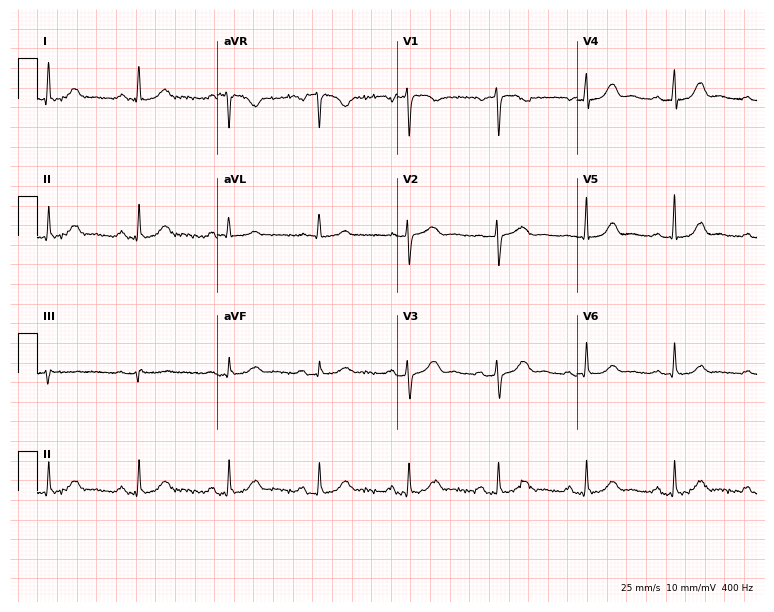
Resting 12-lead electrocardiogram (7.3-second recording at 400 Hz). Patient: a 68-year-old woman. Read as a normal ECG.